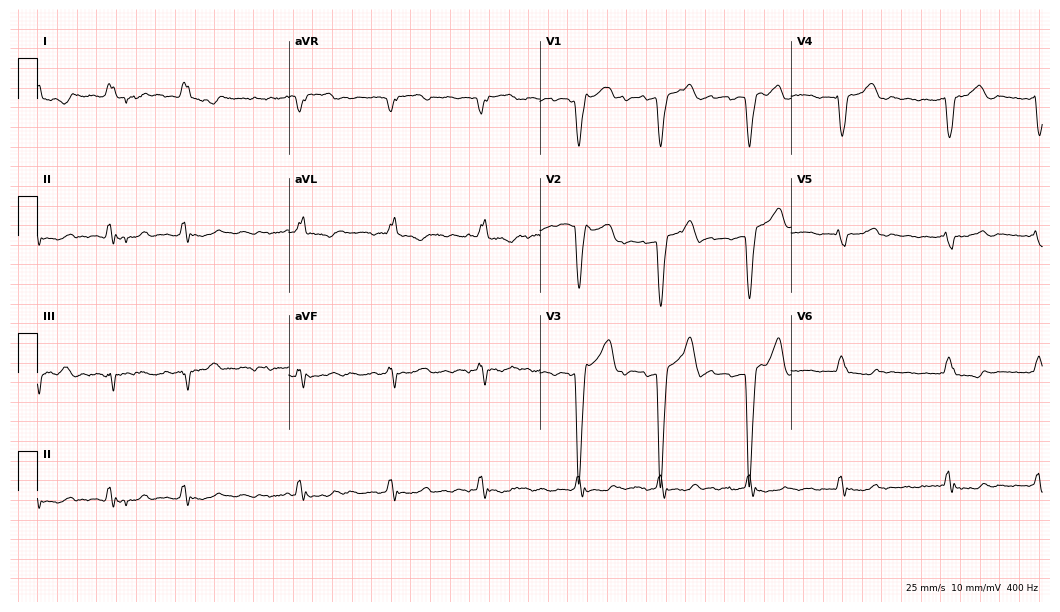
Standard 12-lead ECG recorded from a 68-year-old female patient. The tracing shows left bundle branch block (LBBB), atrial fibrillation (AF).